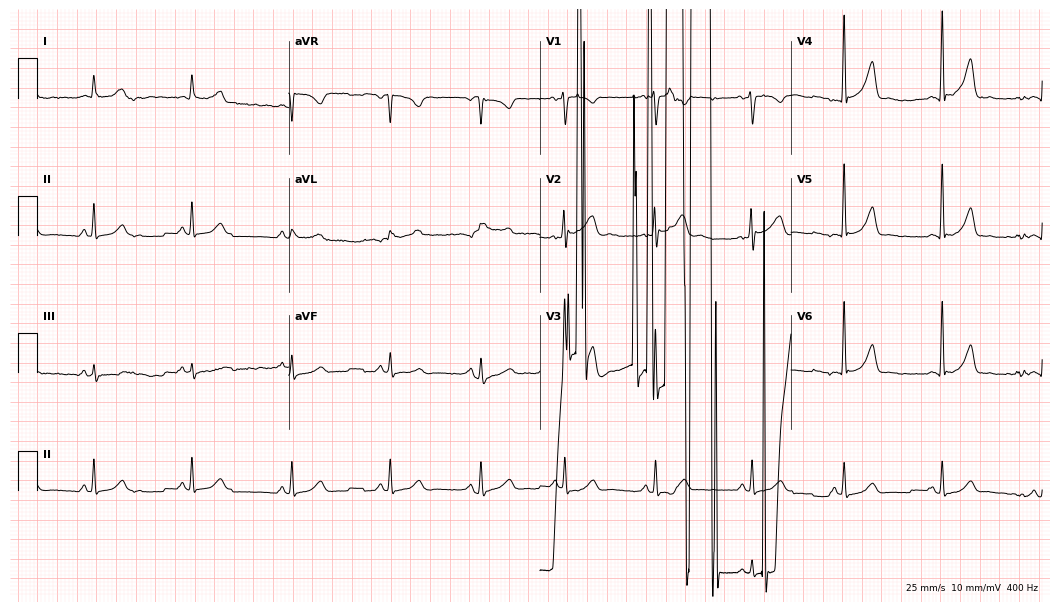
Standard 12-lead ECG recorded from a woman, 30 years old. None of these six findings is recorded: first-degree AV block, right bundle branch block (RBBB), left bundle branch block (LBBB), sinus bradycardia, atrial fibrillation (AF), sinus tachycardia. Findings outside these six are not listed.